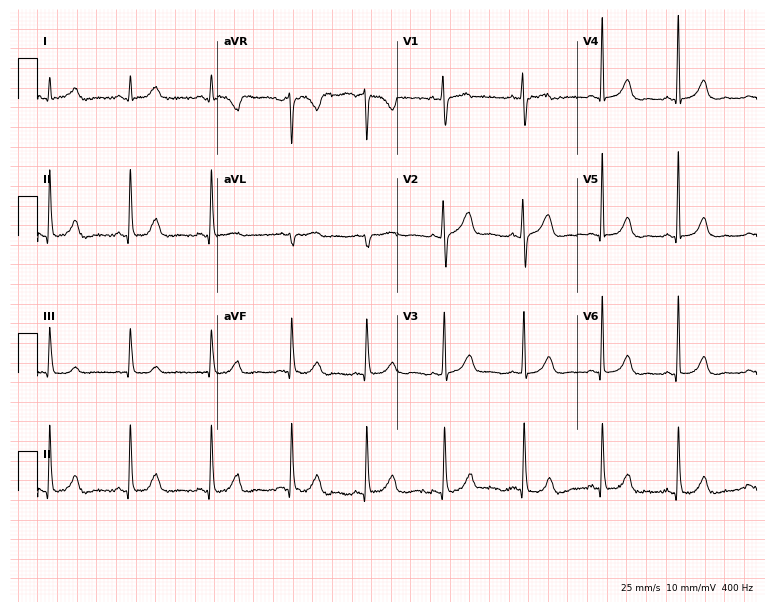
12-lead ECG from a 39-year-old female patient (7.3-second recording at 400 Hz). Recorded interpretation: within normal limits.